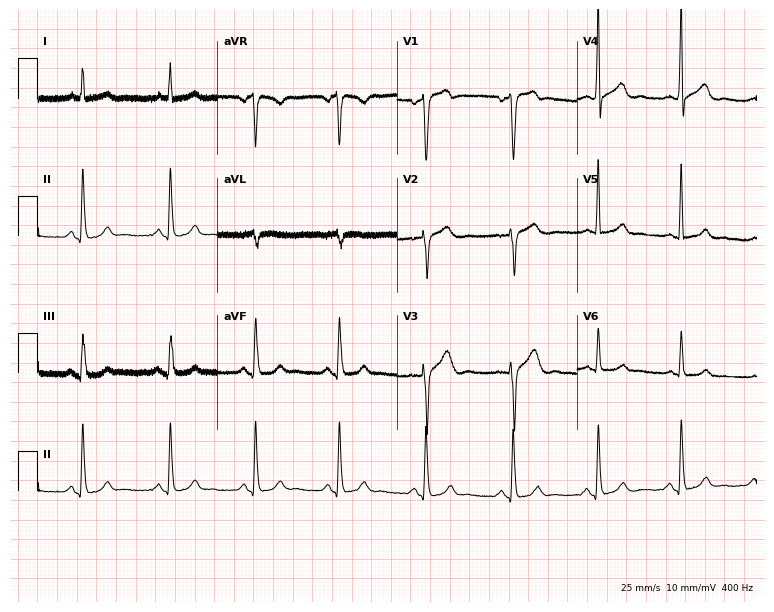
Electrocardiogram (7.3-second recording at 400 Hz), a man, 56 years old. Of the six screened findings (first-degree AV block, right bundle branch block (RBBB), left bundle branch block (LBBB), sinus bradycardia, atrial fibrillation (AF), sinus tachycardia), none is recorded. Only these six findings were labelled.